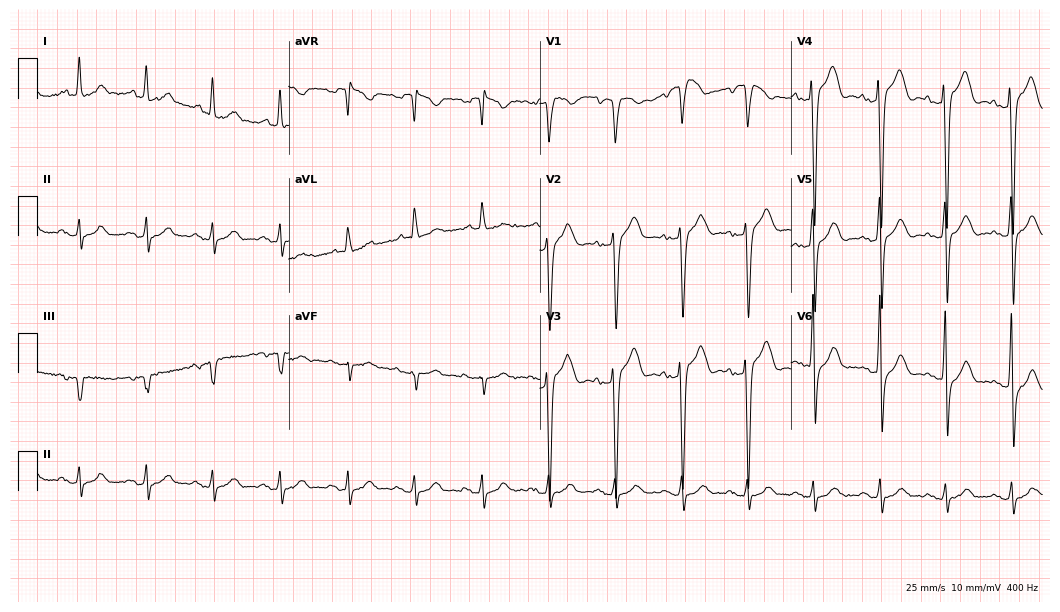
Standard 12-lead ECG recorded from a 75-year-old male patient. None of these six findings is recorded: first-degree AV block, right bundle branch block (RBBB), left bundle branch block (LBBB), sinus bradycardia, atrial fibrillation (AF), sinus tachycardia. Findings outside these six are not listed.